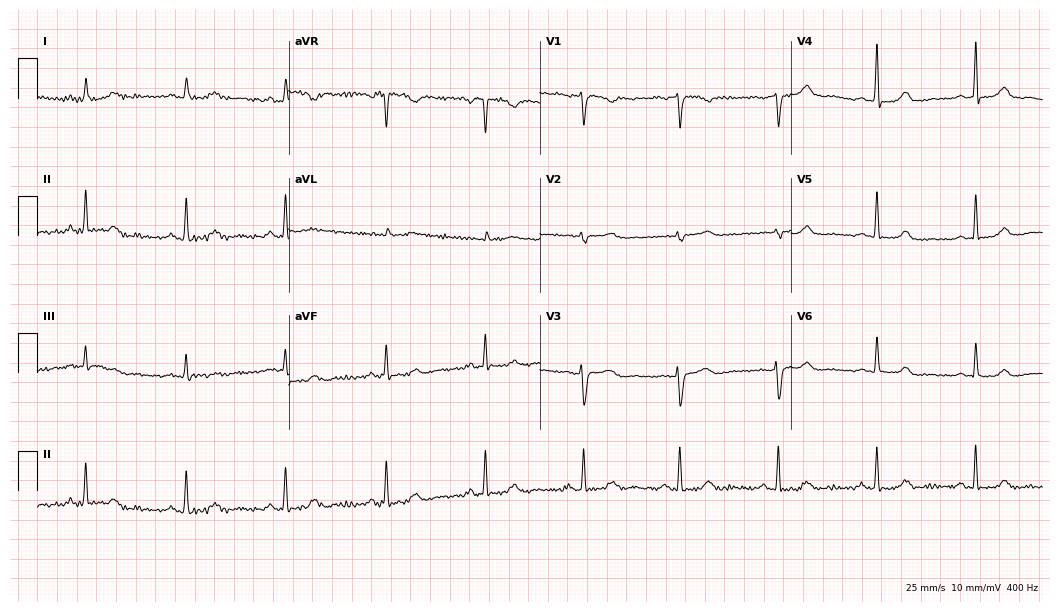
Electrocardiogram (10.2-second recording at 400 Hz), a woman, 49 years old. Overall reading on record: normal ECG.